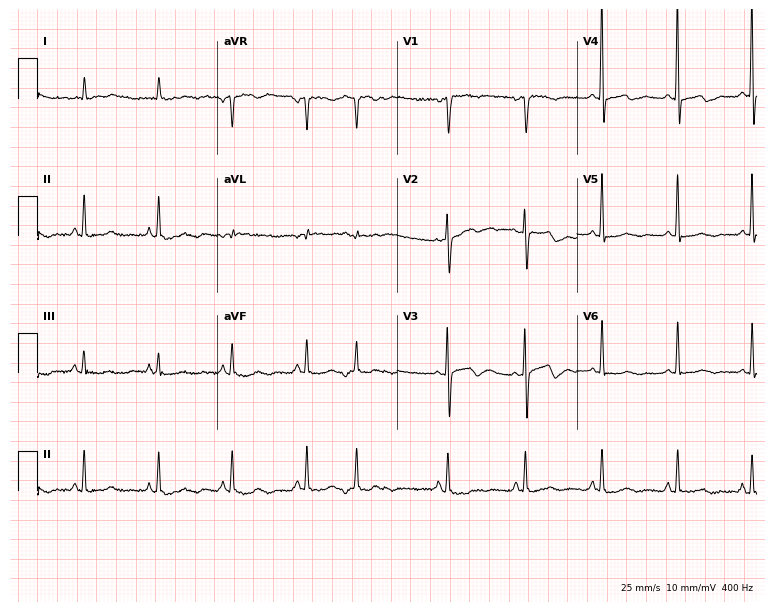
ECG — a 74-year-old female. Screened for six findings — first-degree AV block, right bundle branch block, left bundle branch block, sinus bradycardia, atrial fibrillation, sinus tachycardia — none is recorded. Findings outside these six are not listed.